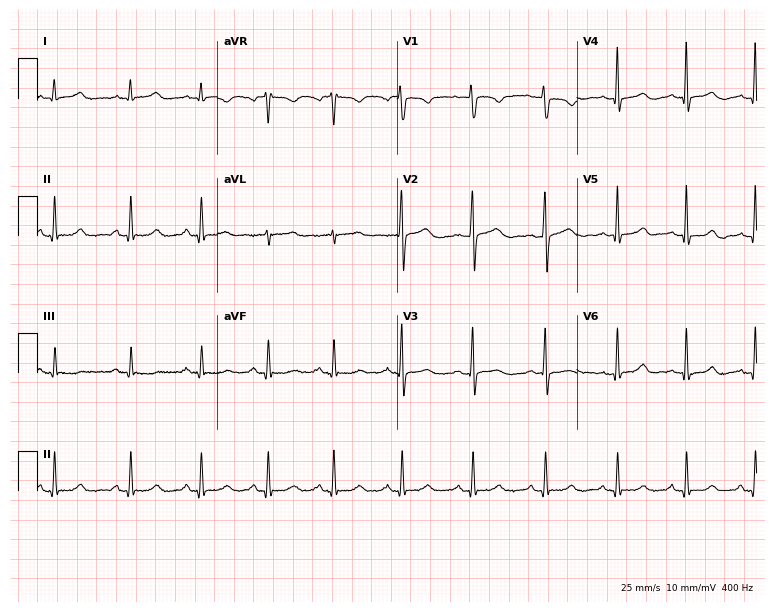
Standard 12-lead ECG recorded from a female, 36 years old (7.3-second recording at 400 Hz). Read as a normal ECG.